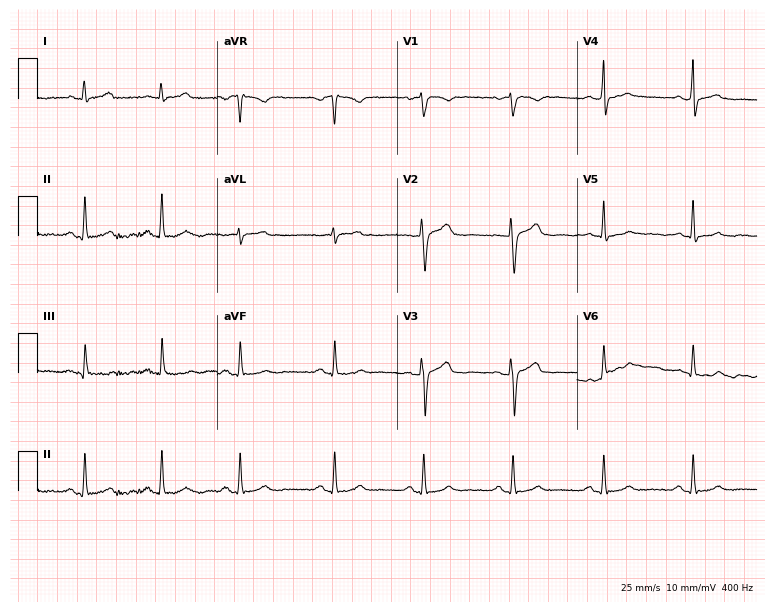
Resting 12-lead electrocardiogram (7.3-second recording at 400 Hz). Patient: a female, 41 years old. Read as a normal ECG.